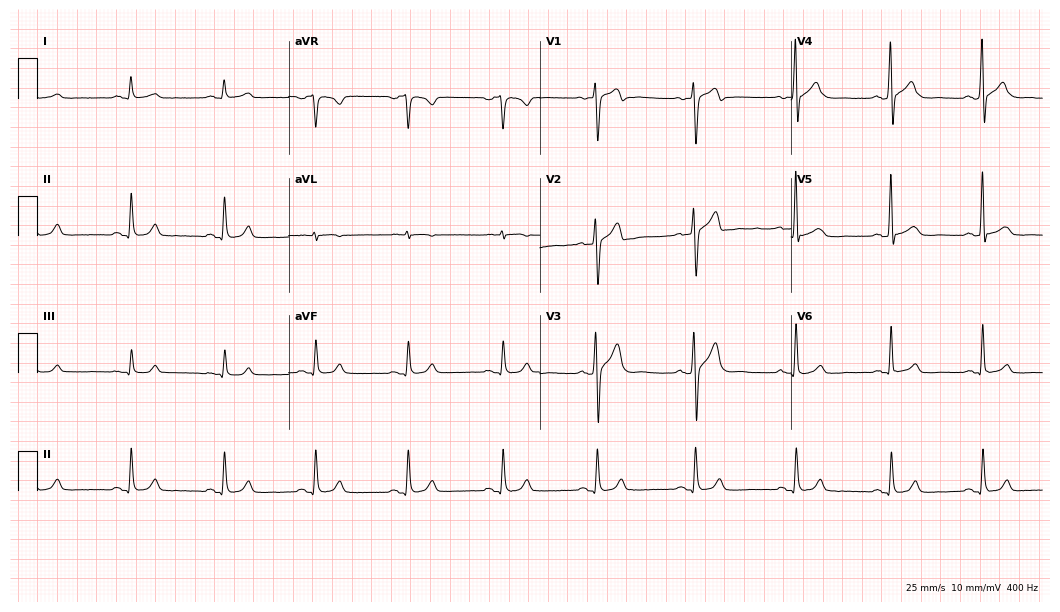
12-lead ECG from a male patient, 35 years old (10.2-second recording at 400 Hz). Recorded interpretation: within normal limits.